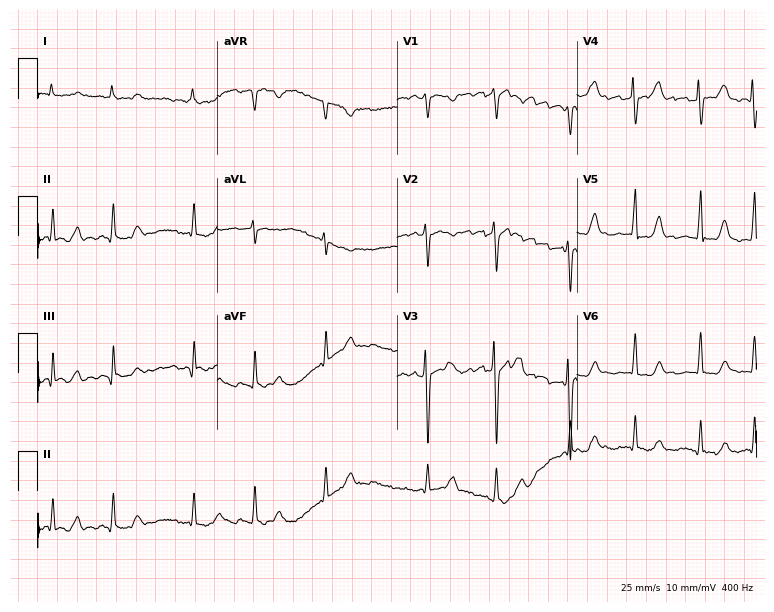
Electrocardiogram, a woman, 70 years old. Of the six screened findings (first-degree AV block, right bundle branch block (RBBB), left bundle branch block (LBBB), sinus bradycardia, atrial fibrillation (AF), sinus tachycardia), none is recorded.